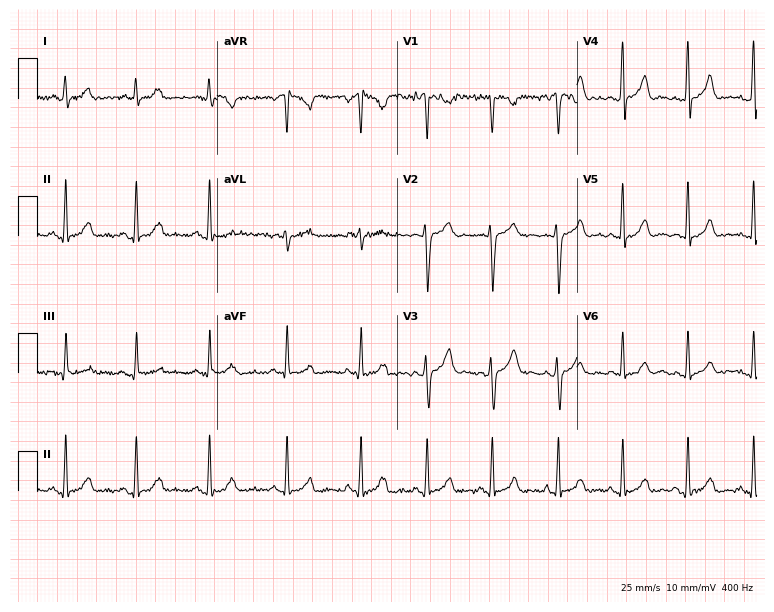
Standard 12-lead ECG recorded from a female, 31 years old (7.3-second recording at 400 Hz). Read as a normal ECG.